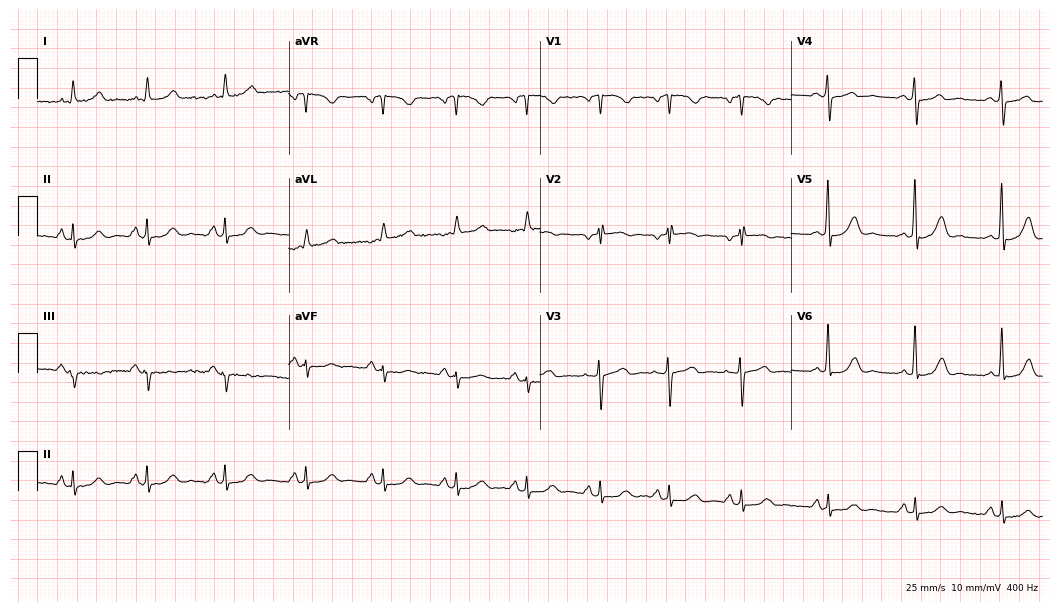
Electrocardiogram, a 54-year-old female. Of the six screened findings (first-degree AV block, right bundle branch block, left bundle branch block, sinus bradycardia, atrial fibrillation, sinus tachycardia), none is recorded.